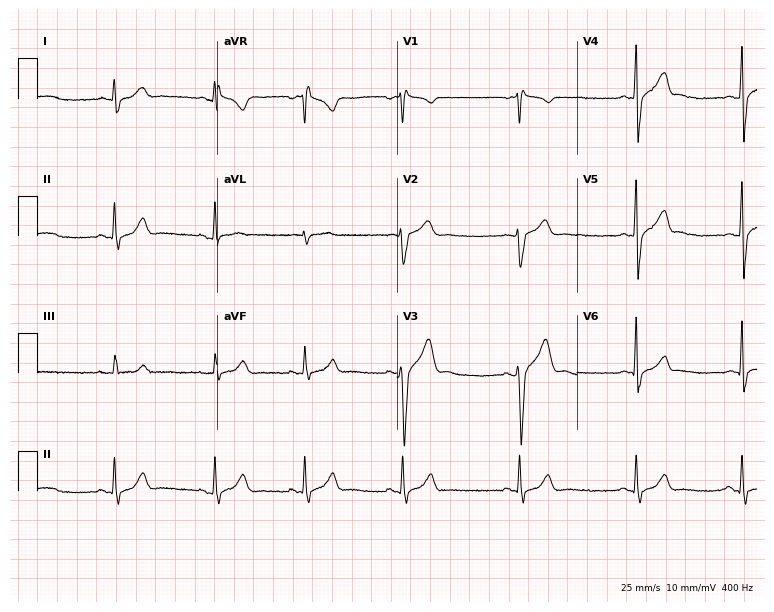
ECG — a 19-year-old male patient. Screened for six findings — first-degree AV block, right bundle branch block (RBBB), left bundle branch block (LBBB), sinus bradycardia, atrial fibrillation (AF), sinus tachycardia — none is recorded.